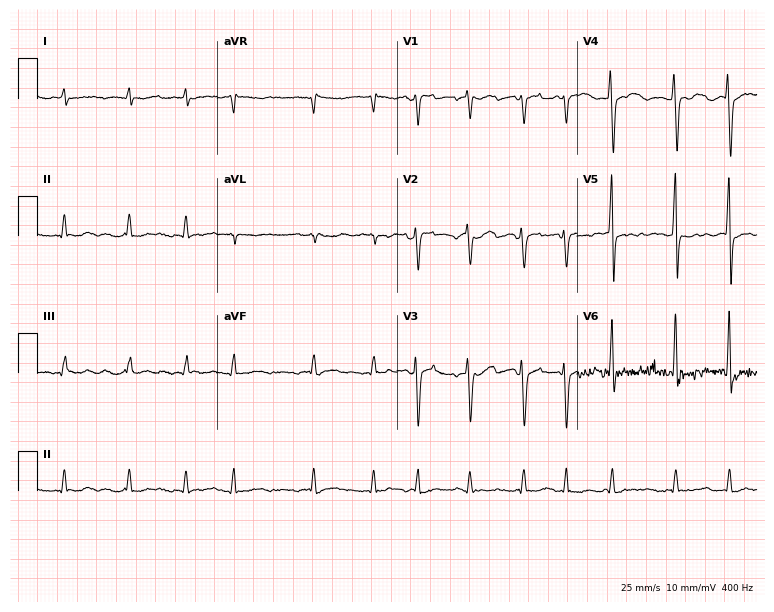
12-lead ECG from a female patient, 53 years old. Findings include atrial fibrillation (AF).